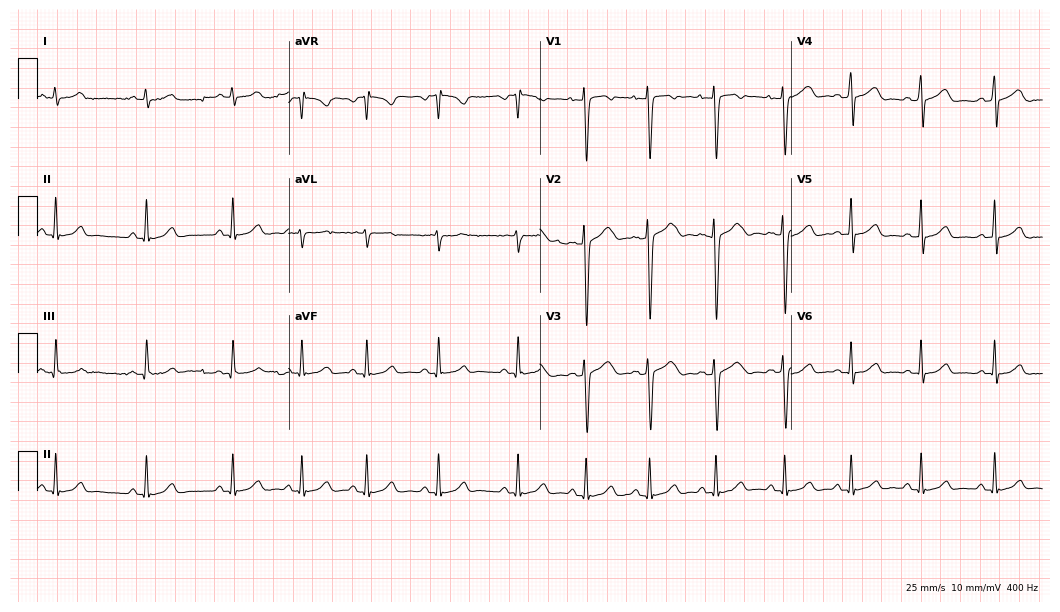
12-lead ECG from a female patient, 26 years old. Labelled as a normal ECG.